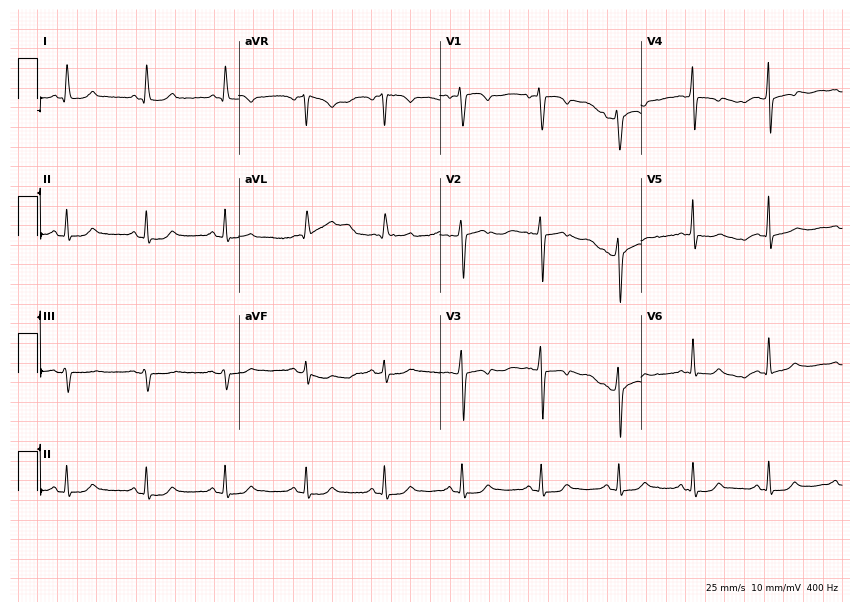
12-lead ECG from a 66-year-old female. No first-degree AV block, right bundle branch block, left bundle branch block, sinus bradycardia, atrial fibrillation or sinus tachycardia recorded for this tracing.